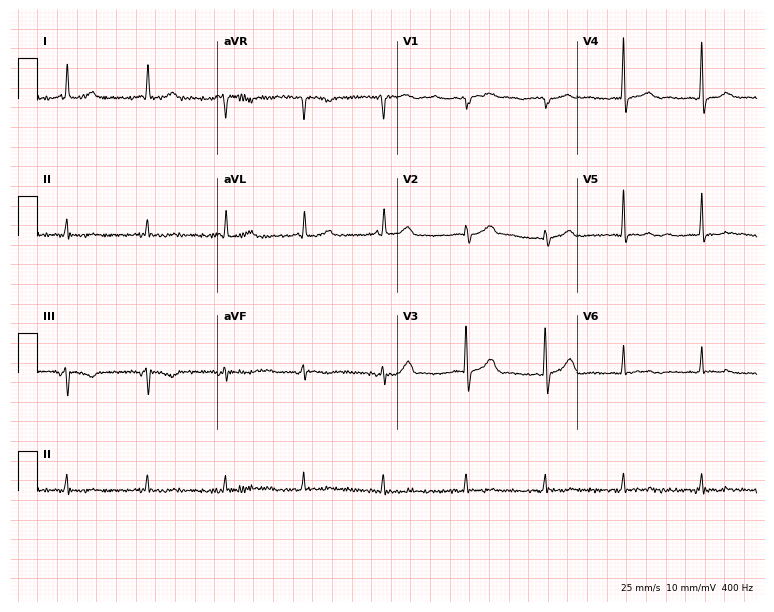
Electrocardiogram (7.3-second recording at 400 Hz), a 67-year-old female. Of the six screened findings (first-degree AV block, right bundle branch block, left bundle branch block, sinus bradycardia, atrial fibrillation, sinus tachycardia), none is recorded.